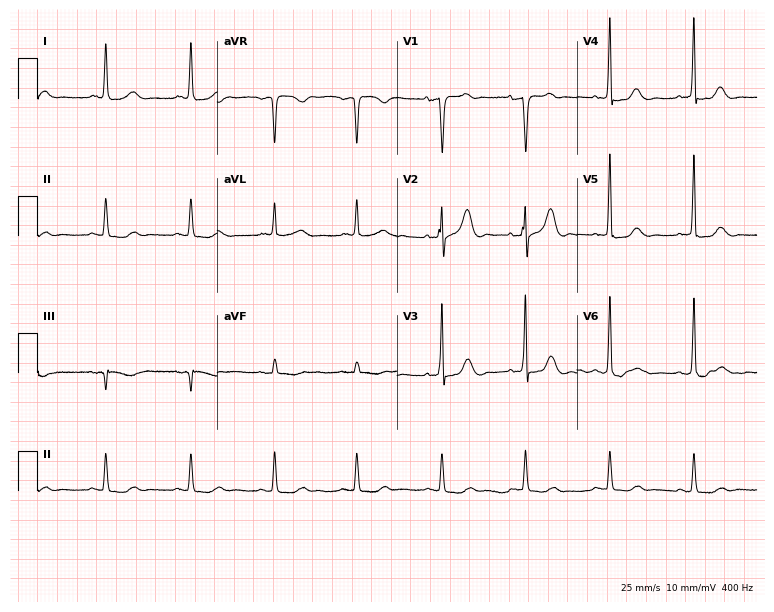
12-lead ECG from a female, 80 years old. No first-degree AV block, right bundle branch block (RBBB), left bundle branch block (LBBB), sinus bradycardia, atrial fibrillation (AF) or sinus tachycardia recorded for this tracing. Other findings, if any, are not listed.